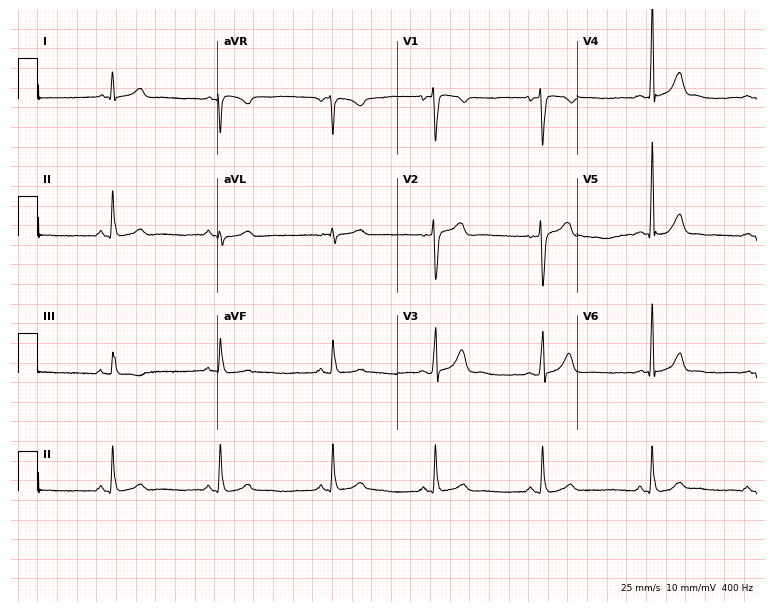
12-lead ECG from a 35-year-old male patient. Recorded interpretation: within normal limits.